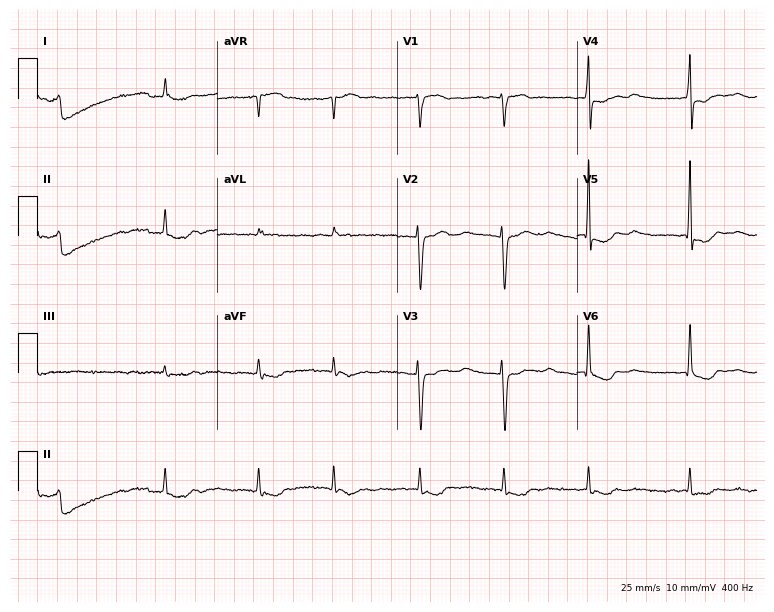
Resting 12-lead electrocardiogram. Patient: a 78-year-old man. The tracing shows atrial fibrillation (AF).